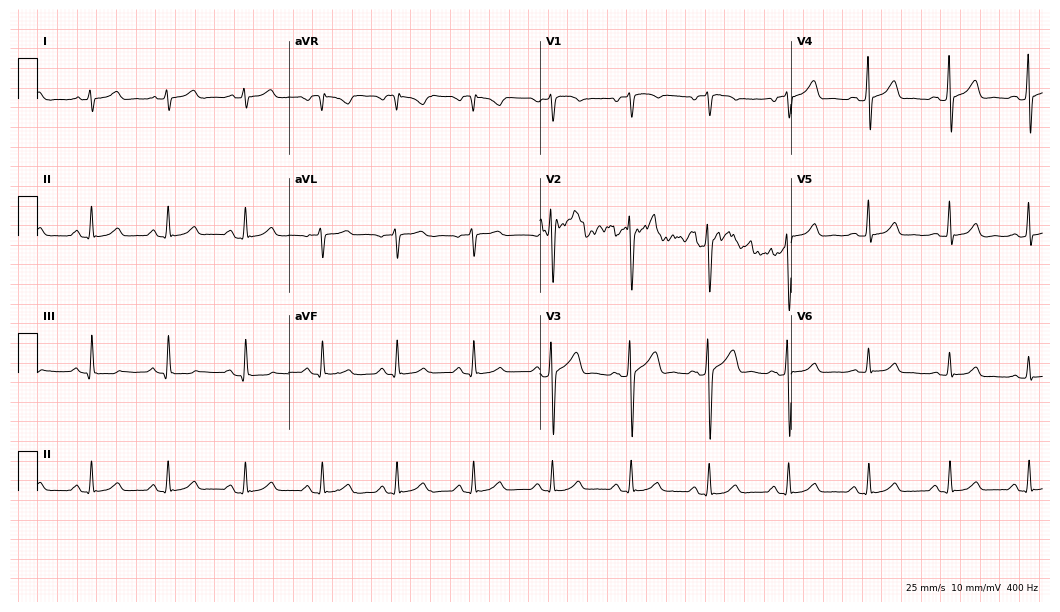
Standard 12-lead ECG recorded from a 44-year-old male patient. Read as a normal ECG.